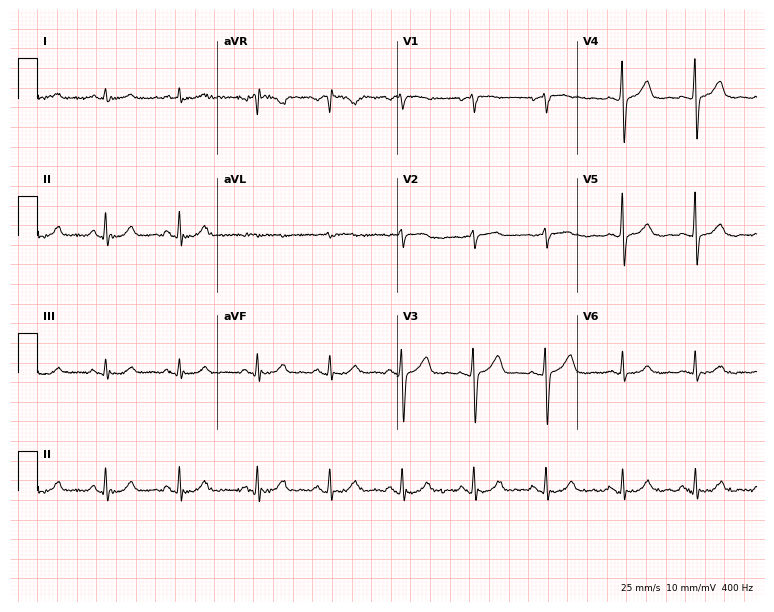
ECG (7.3-second recording at 400 Hz) — a 69-year-old male patient. Labelled as a normal ECG.